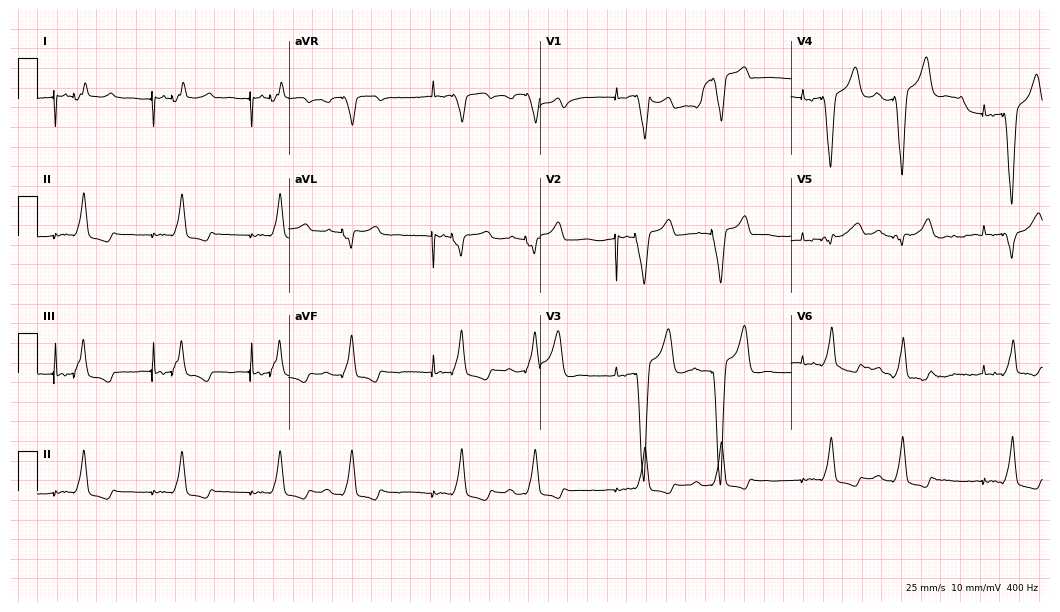
ECG — a 75-year-old male. Screened for six findings — first-degree AV block, right bundle branch block, left bundle branch block, sinus bradycardia, atrial fibrillation, sinus tachycardia — none is recorded.